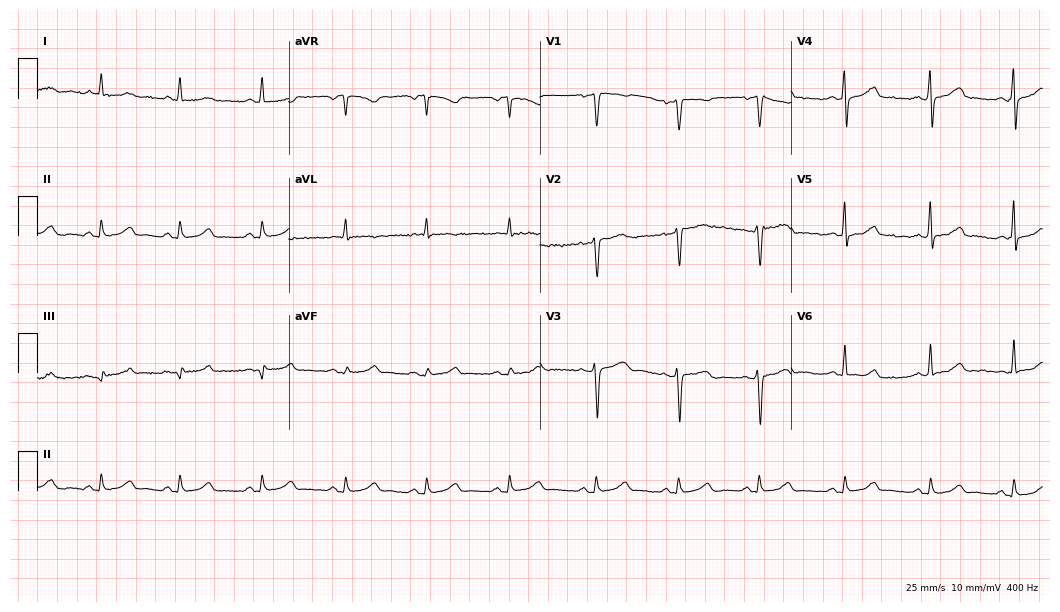
Standard 12-lead ECG recorded from a female patient, 37 years old (10.2-second recording at 400 Hz). None of these six findings is recorded: first-degree AV block, right bundle branch block (RBBB), left bundle branch block (LBBB), sinus bradycardia, atrial fibrillation (AF), sinus tachycardia. Other findings, if any, are not listed.